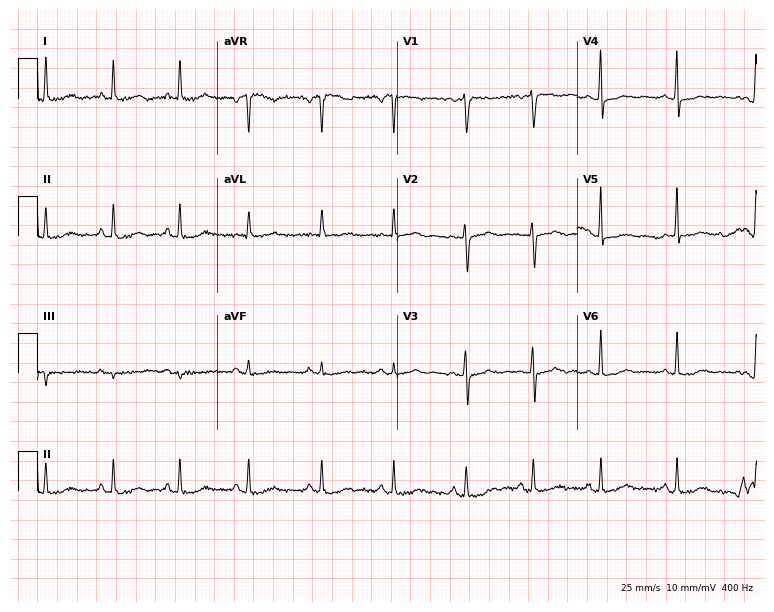
ECG (7.3-second recording at 400 Hz) — a female, 49 years old. Screened for six findings — first-degree AV block, right bundle branch block, left bundle branch block, sinus bradycardia, atrial fibrillation, sinus tachycardia — none is recorded. Only these six findings were labelled.